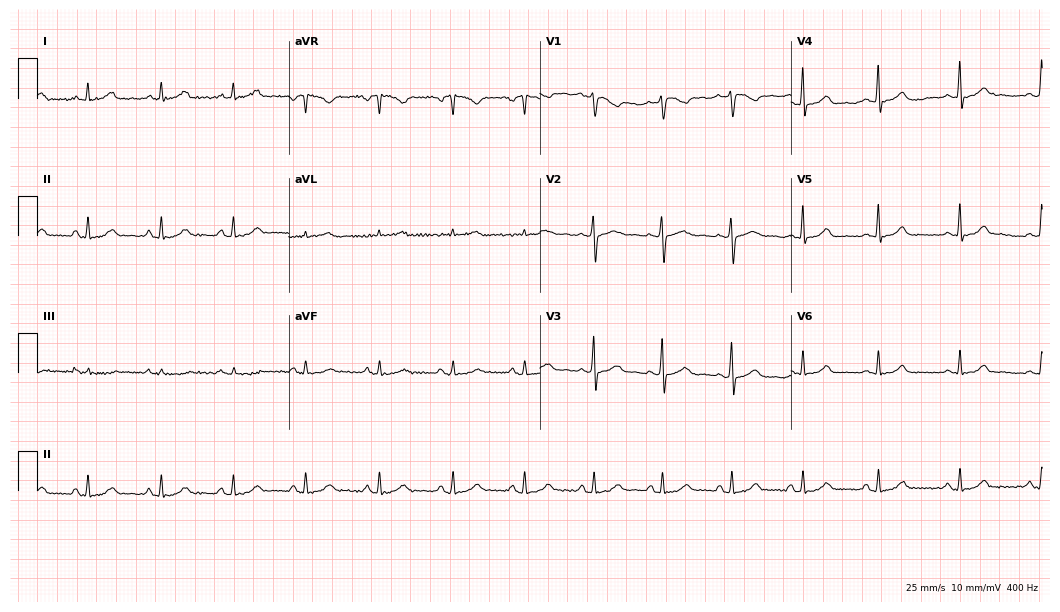
12-lead ECG (10.2-second recording at 400 Hz) from a 38-year-old female patient. Screened for six findings — first-degree AV block, right bundle branch block, left bundle branch block, sinus bradycardia, atrial fibrillation, sinus tachycardia — none is recorded. Other findings, if any, are not listed.